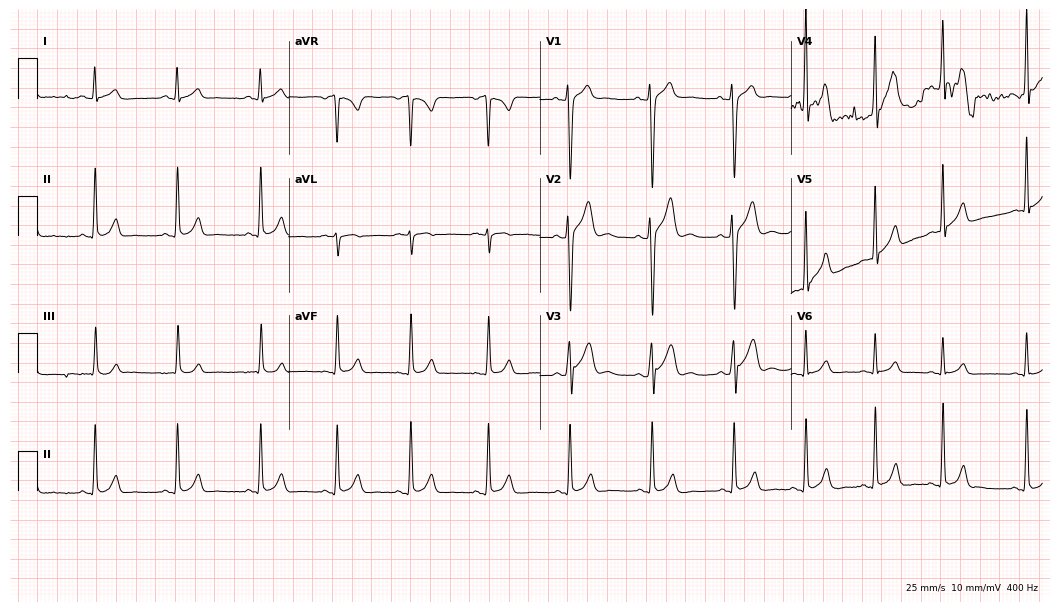
Resting 12-lead electrocardiogram (10.2-second recording at 400 Hz). Patient: a 20-year-old man. None of these six findings is recorded: first-degree AV block, right bundle branch block, left bundle branch block, sinus bradycardia, atrial fibrillation, sinus tachycardia. Other findings, if any, are not listed.